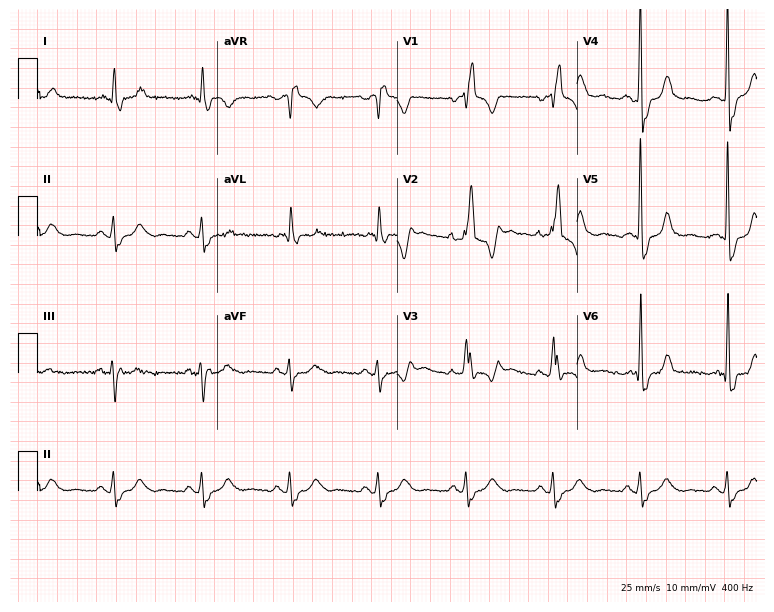
Standard 12-lead ECG recorded from a man, 69 years old. The tracing shows right bundle branch block (RBBB).